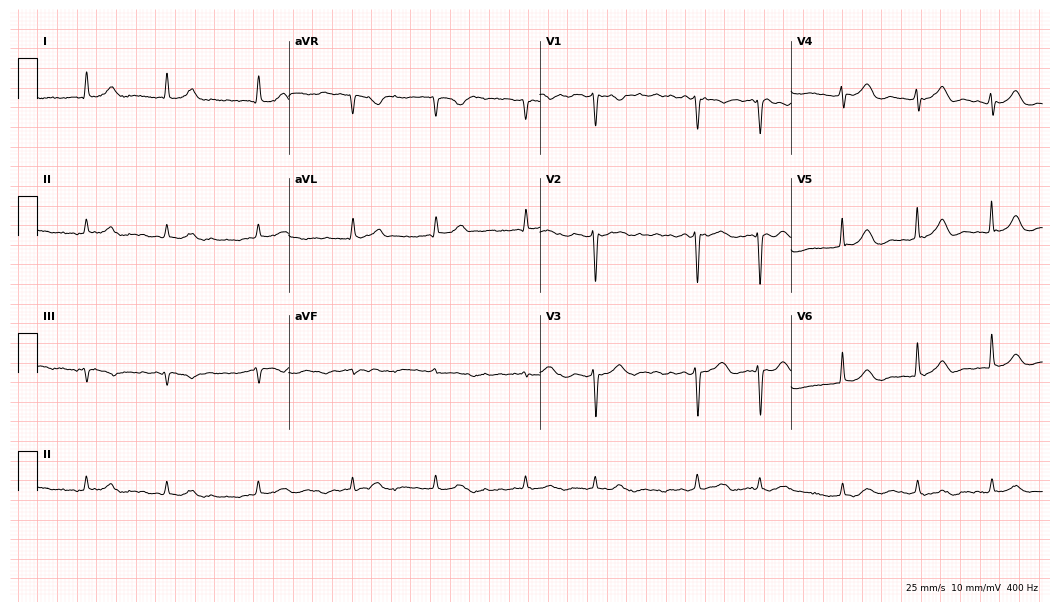
ECG — an 83-year-old female patient. Findings include atrial fibrillation (AF).